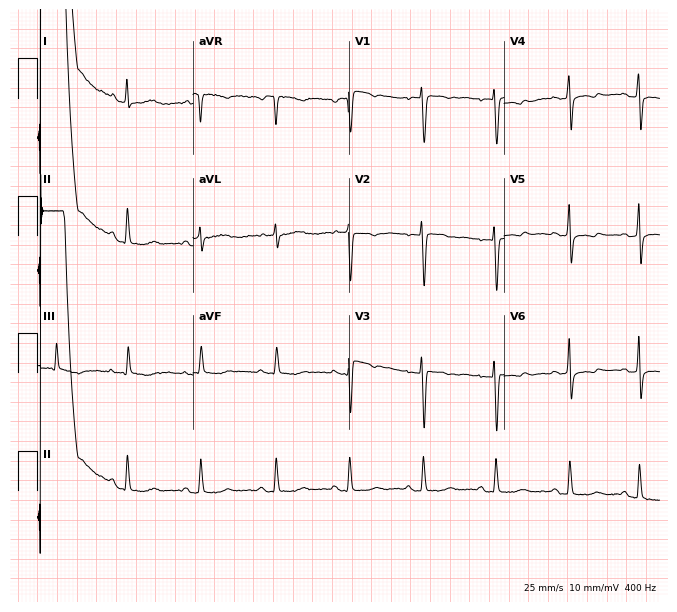
12-lead ECG from a woman, 32 years old (6.3-second recording at 400 Hz). No first-degree AV block, right bundle branch block, left bundle branch block, sinus bradycardia, atrial fibrillation or sinus tachycardia recorded for this tracing.